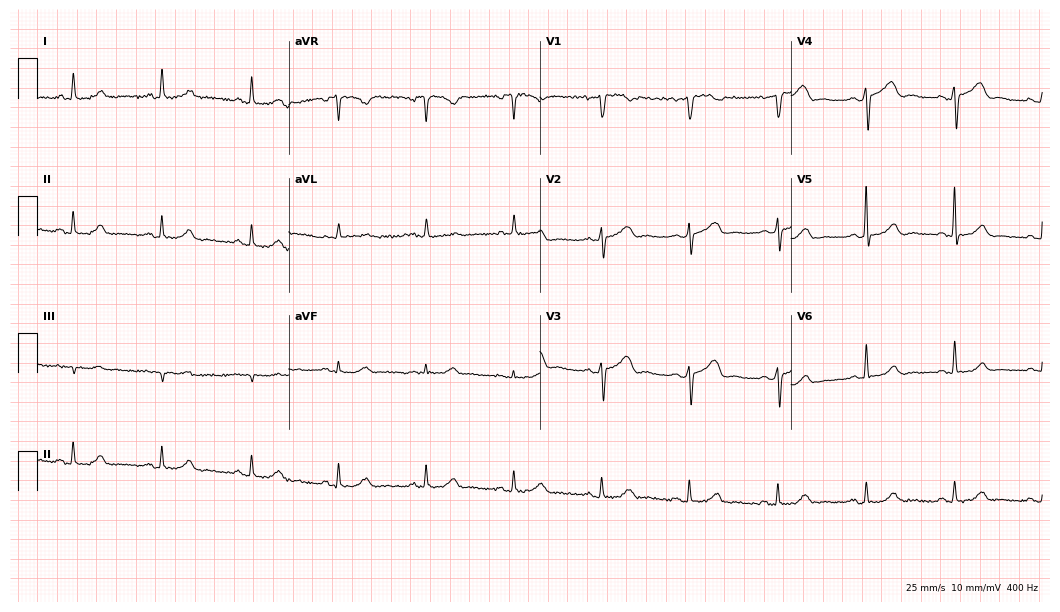
12-lead ECG from a 69-year-old female patient. Labelled as a normal ECG.